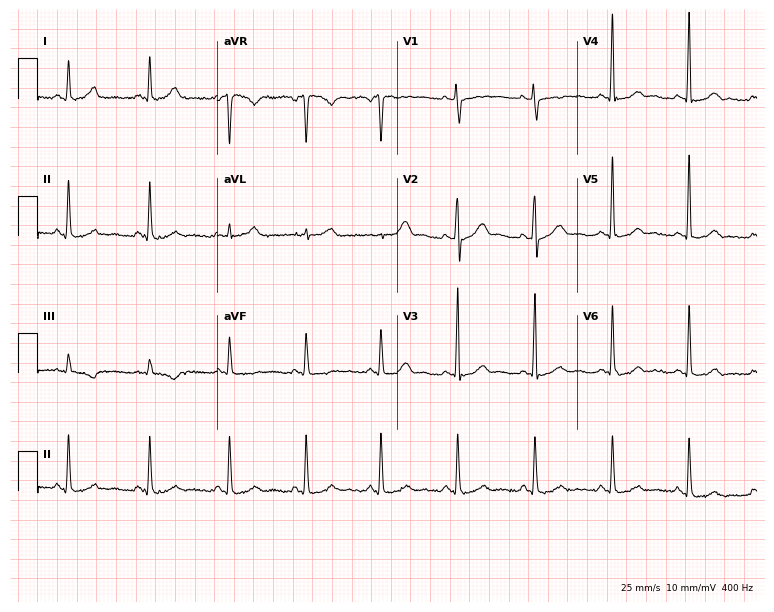
ECG (7.3-second recording at 400 Hz) — a female patient, 36 years old. Labelled as a normal ECG.